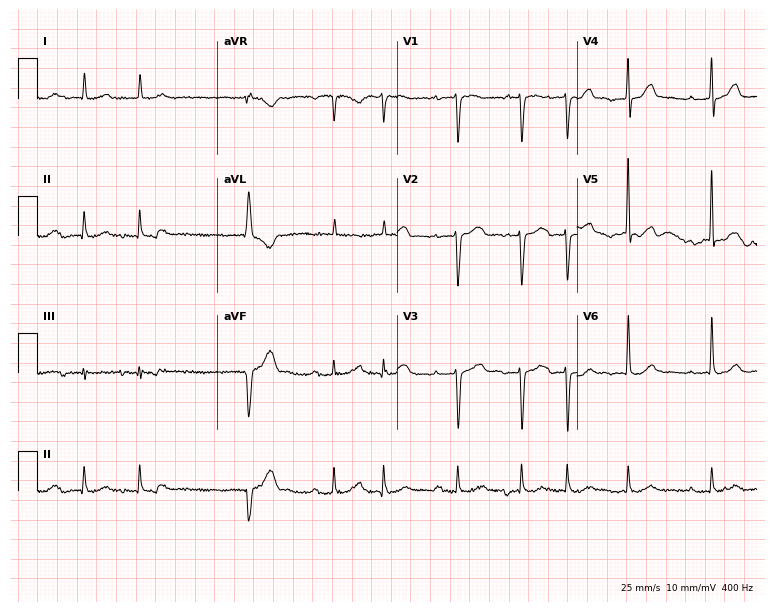
ECG — a female, 81 years old. Findings include first-degree AV block.